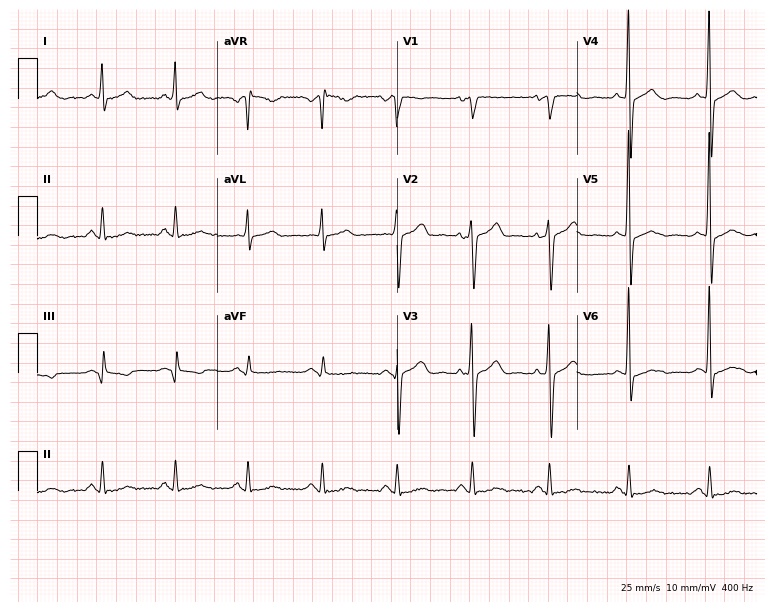
12-lead ECG from a man, 48 years old. Screened for six findings — first-degree AV block, right bundle branch block, left bundle branch block, sinus bradycardia, atrial fibrillation, sinus tachycardia — none is recorded.